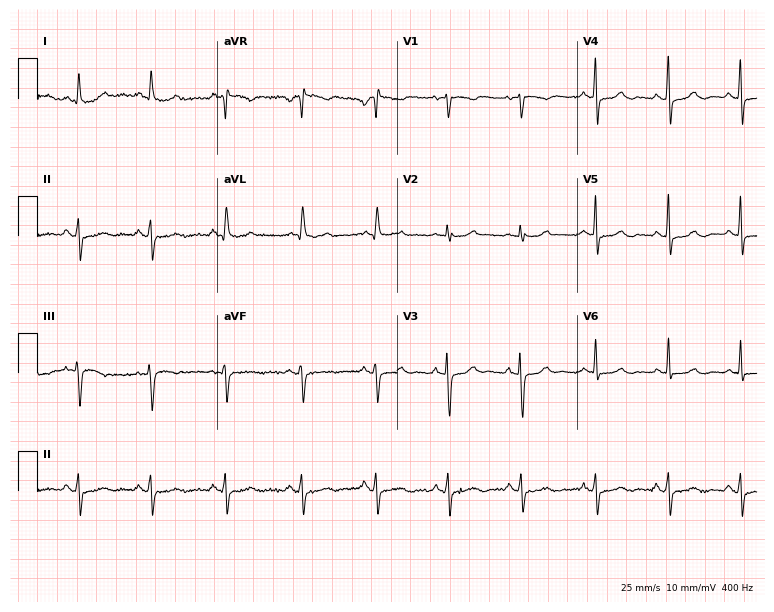
Resting 12-lead electrocardiogram (7.3-second recording at 400 Hz). Patient: a female, 72 years old. None of these six findings is recorded: first-degree AV block, right bundle branch block, left bundle branch block, sinus bradycardia, atrial fibrillation, sinus tachycardia. Findings outside these six are not listed.